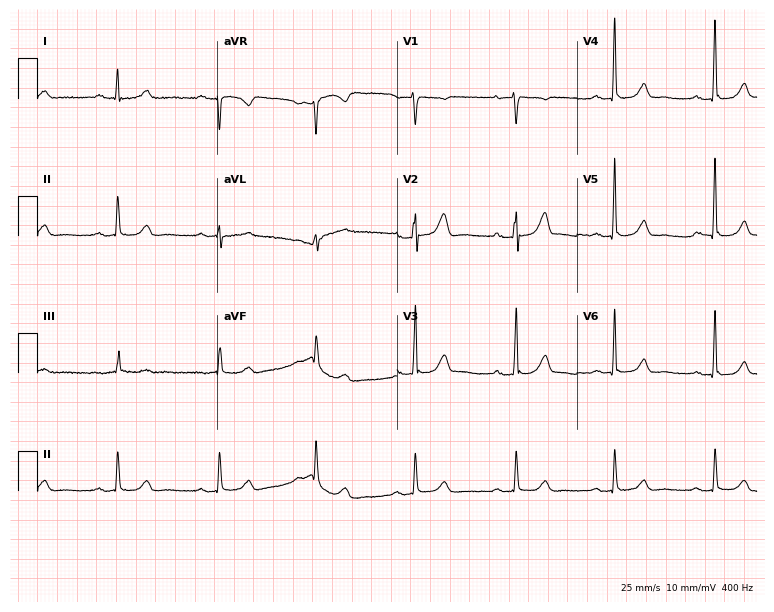
ECG (7.3-second recording at 400 Hz) — a 38-year-old female. Labelled as a normal ECG.